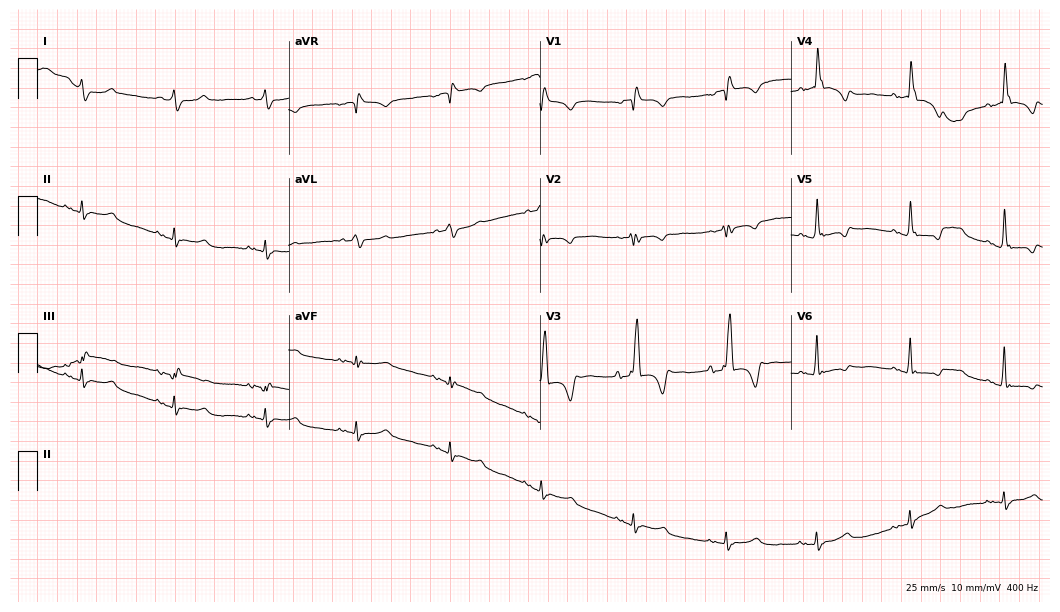
Resting 12-lead electrocardiogram (10.2-second recording at 400 Hz). Patient: a 71-year-old female. The tracing shows right bundle branch block (RBBB).